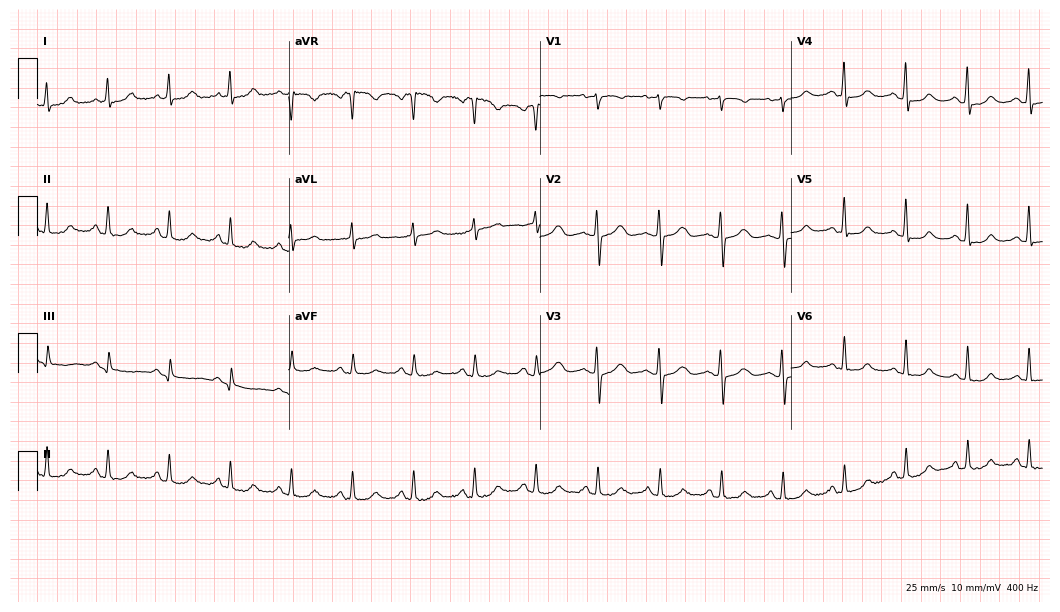
Resting 12-lead electrocardiogram (10.2-second recording at 400 Hz). Patient: a woman, 57 years old. Read as a normal ECG.